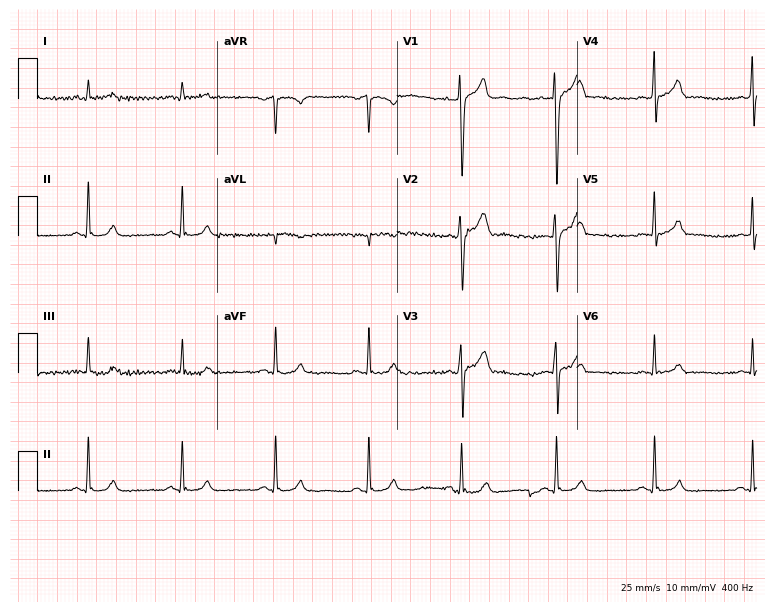
Resting 12-lead electrocardiogram. Patient: a male, 46 years old. Read as a normal ECG.